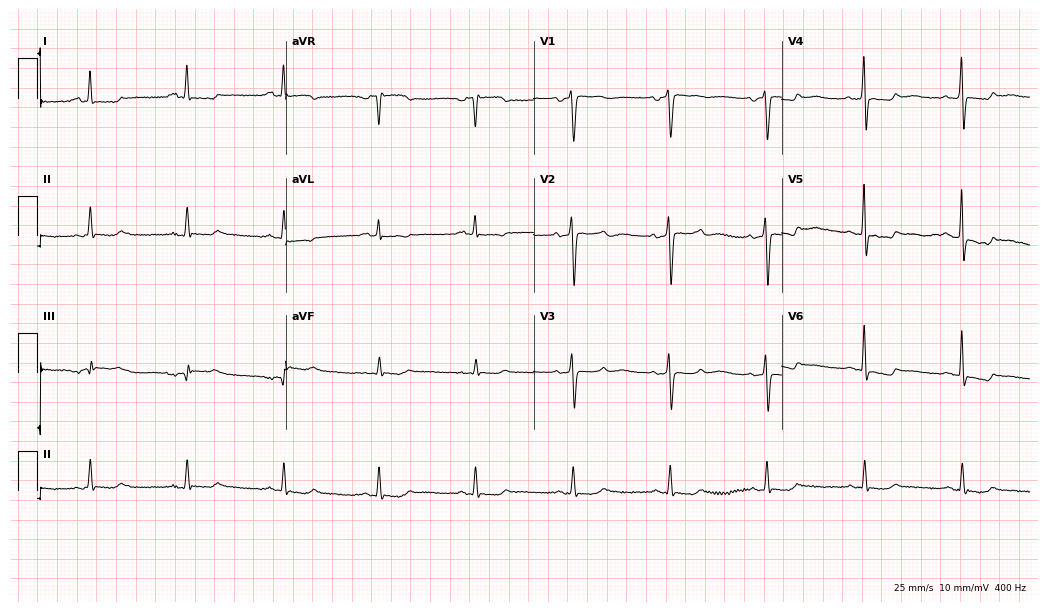
Standard 12-lead ECG recorded from a female patient, 52 years old. None of these six findings is recorded: first-degree AV block, right bundle branch block, left bundle branch block, sinus bradycardia, atrial fibrillation, sinus tachycardia. Only these six findings were labelled.